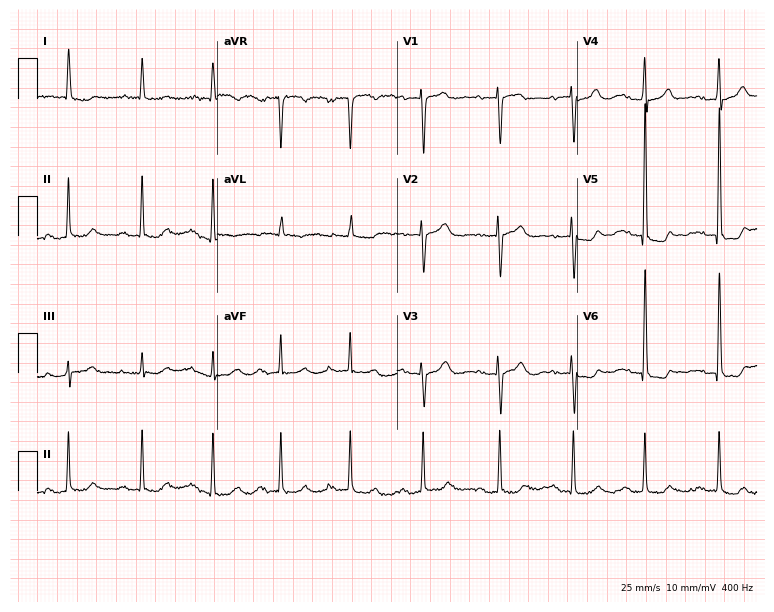
12-lead ECG from a female, 85 years old. No first-degree AV block, right bundle branch block (RBBB), left bundle branch block (LBBB), sinus bradycardia, atrial fibrillation (AF) or sinus tachycardia recorded for this tracing.